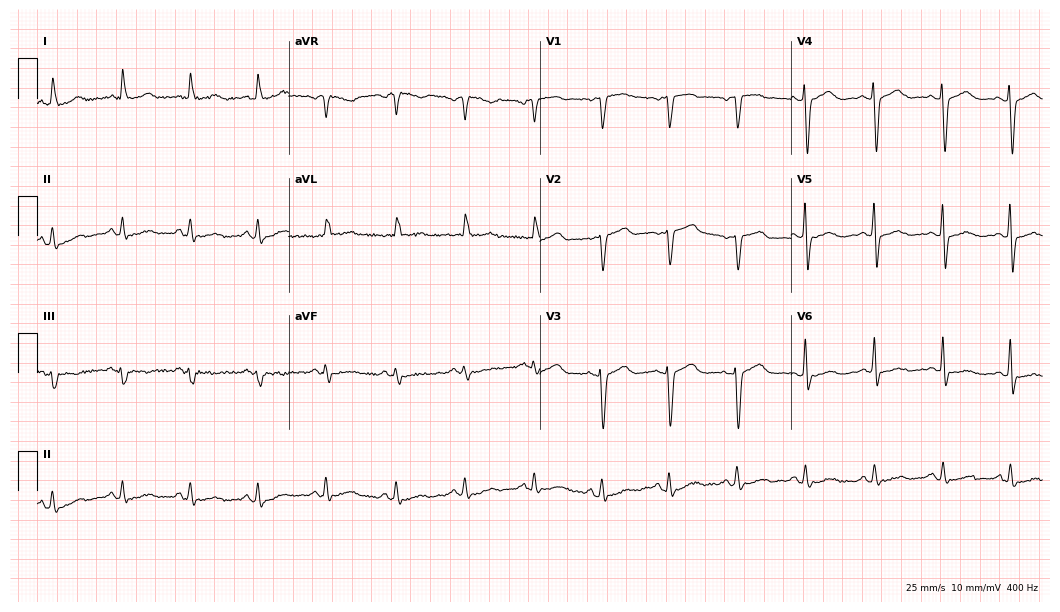
ECG — a woman, 63 years old. Screened for six findings — first-degree AV block, right bundle branch block (RBBB), left bundle branch block (LBBB), sinus bradycardia, atrial fibrillation (AF), sinus tachycardia — none is recorded. Findings outside these six are not listed.